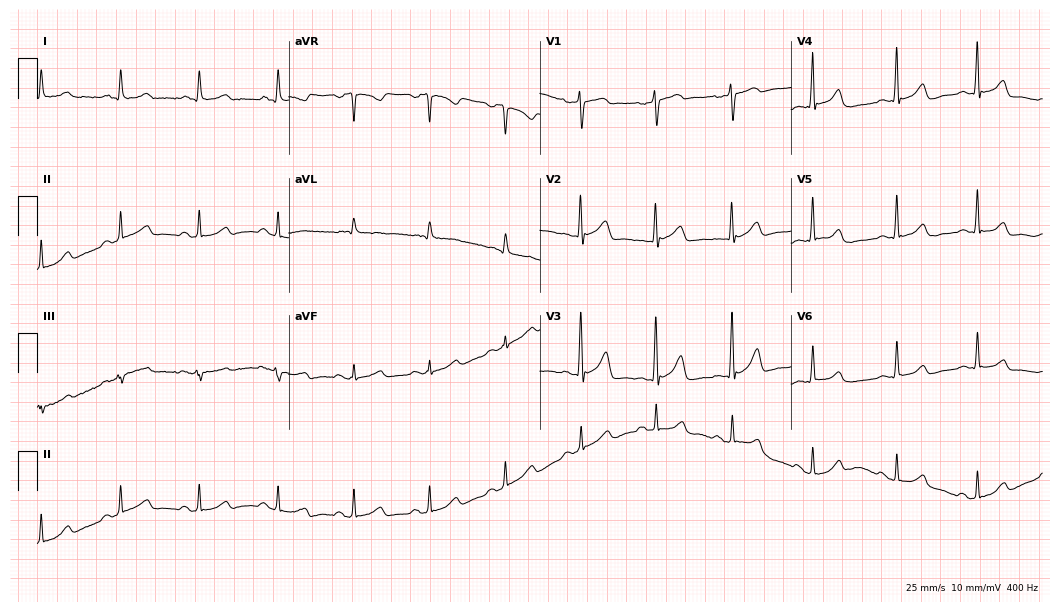
12-lead ECG from a woman, 57 years old. Recorded interpretation: within normal limits.